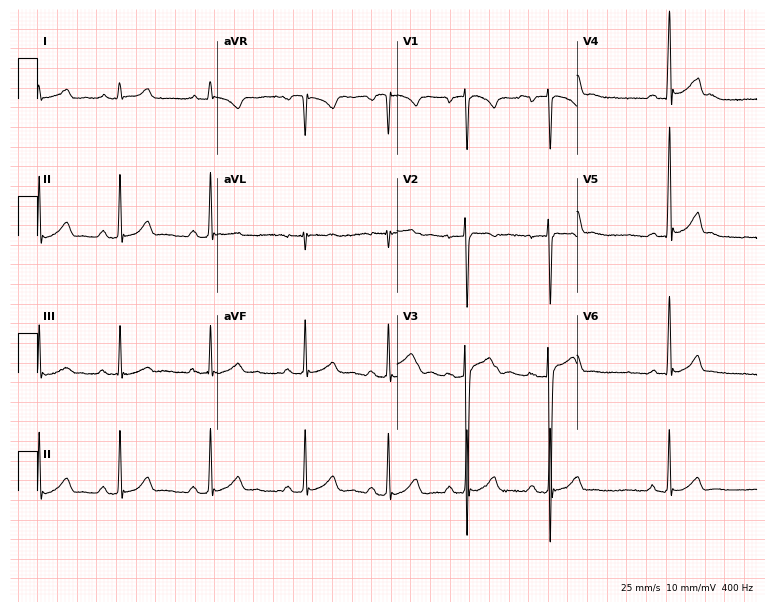
12-lead ECG from a man, 18 years old. Labelled as a normal ECG.